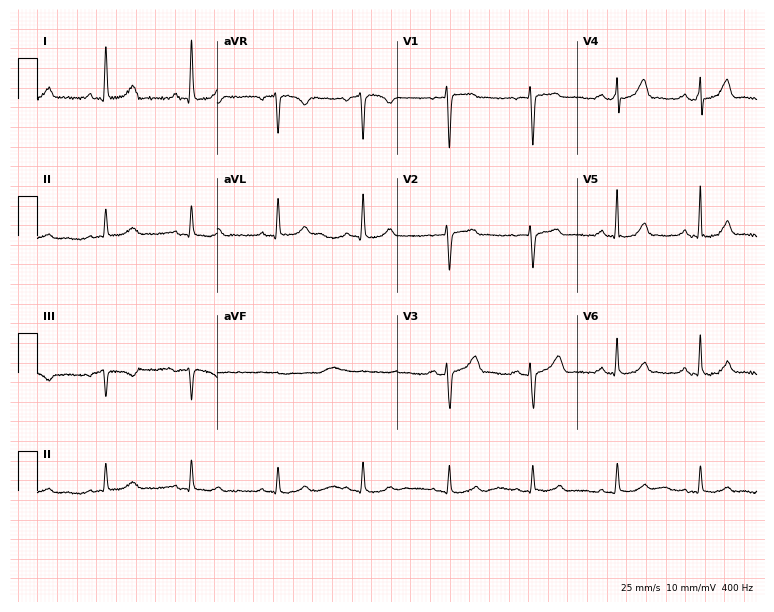
Electrocardiogram (7.3-second recording at 400 Hz), a female, 60 years old. Of the six screened findings (first-degree AV block, right bundle branch block, left bundle branch block, sinus bradycardia, atrial fibrillation, sinus tachycardia), none is recorded.